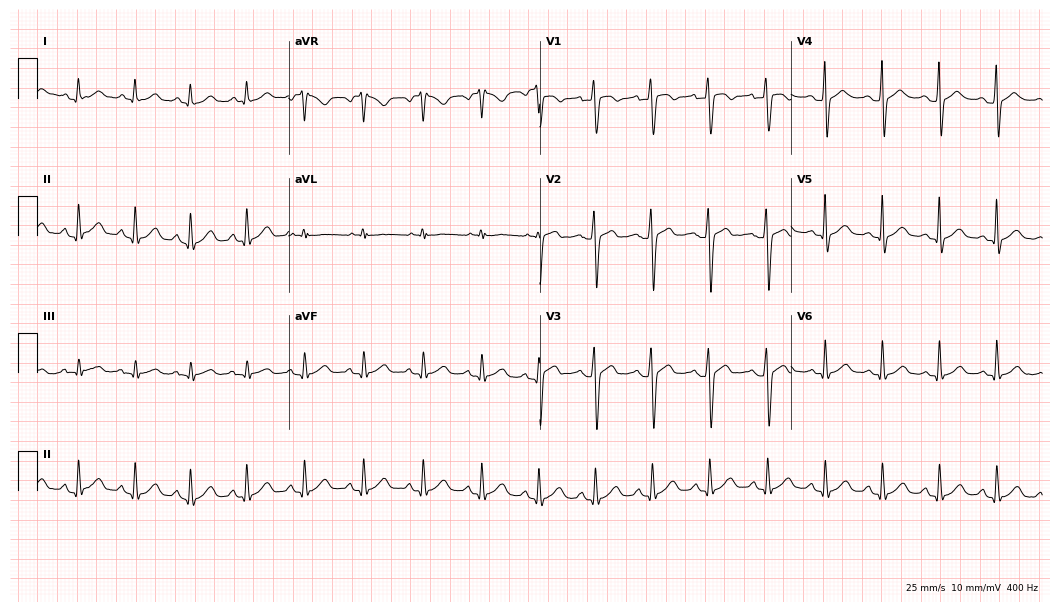
Electrocardiogram (10.2-second recording at 400 Hz), a 19-year-old man. Interpretation includes sinus tachycardia (a sinus rate of 100 beats per minute or more).